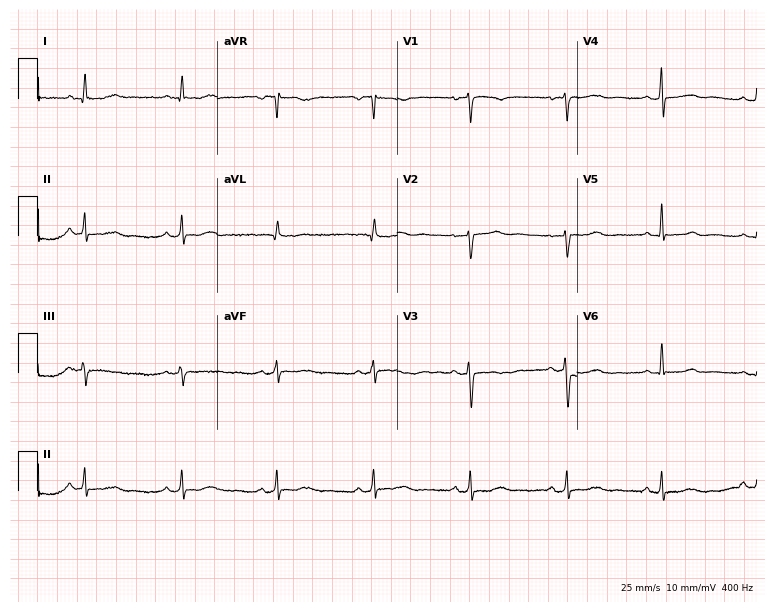
Standard 12-lead ECG recorded from a 51-year-old female (7.3-second recording at 400 Hz). None of these six findings is recorded: first-degree AV block, right bundle branch block, left bundle branch block, sinus bradycardia, atrial fibrillation, sinus tachycardia.